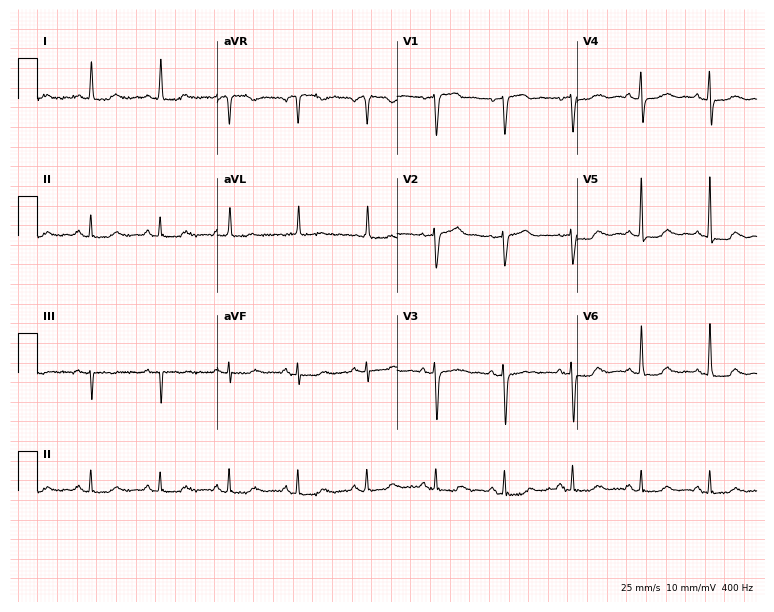
ECG — a female, 80 years old. Screened for six findings — first-degree AV block, right bundle branch block, left bundle branch block, sinus bradycardia, atrial fibrillation, sinus tachycardia — none is recorded. Findings outside these six are not listed.